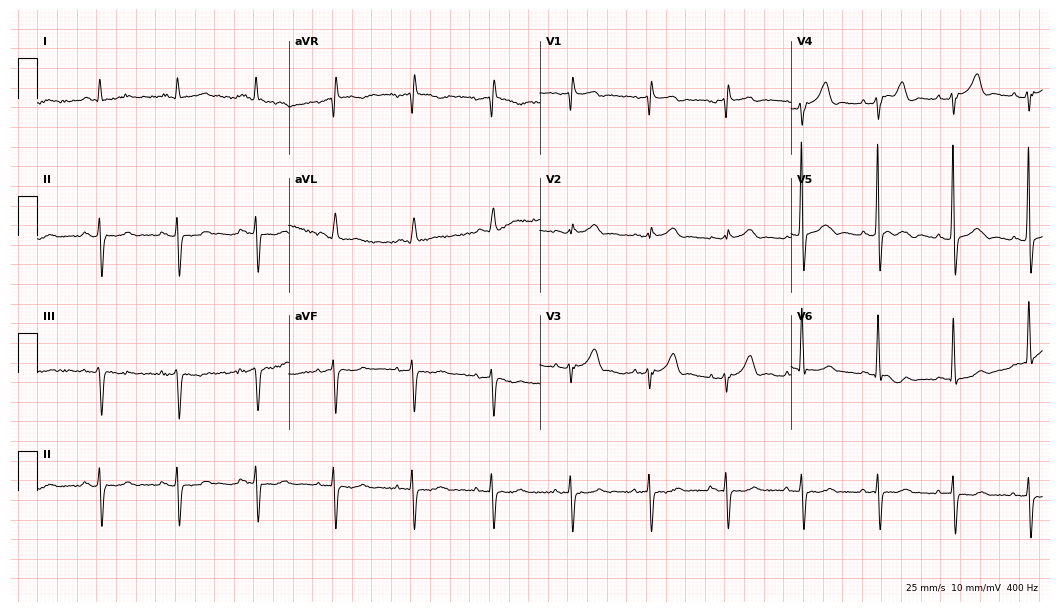
Standard 12-lead ECG recorded from a man, 83 years old (10.2-second recording at 400 Hz). None of these six findings is recorded: first-degree AV block, right bundle branch block (RBBB), left bundle branch block (LBBB), sinus bradycardia, atrial fibrillation (AF), sinus tachycardia. Findings outside these six are not listed.